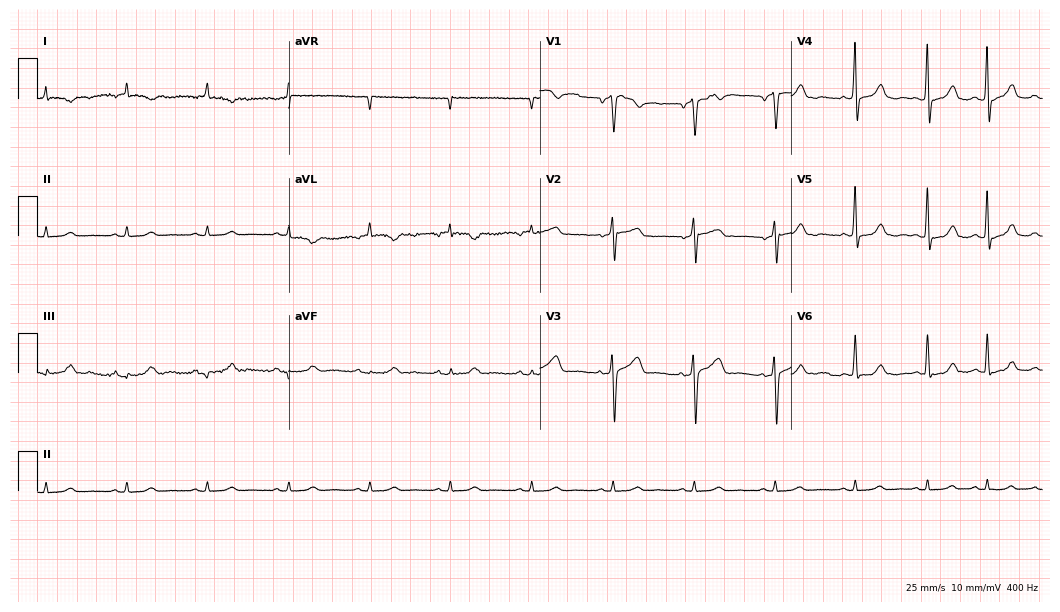
12-lead ECG from a female patient, 75 years old. Labelled as a normal ECG.